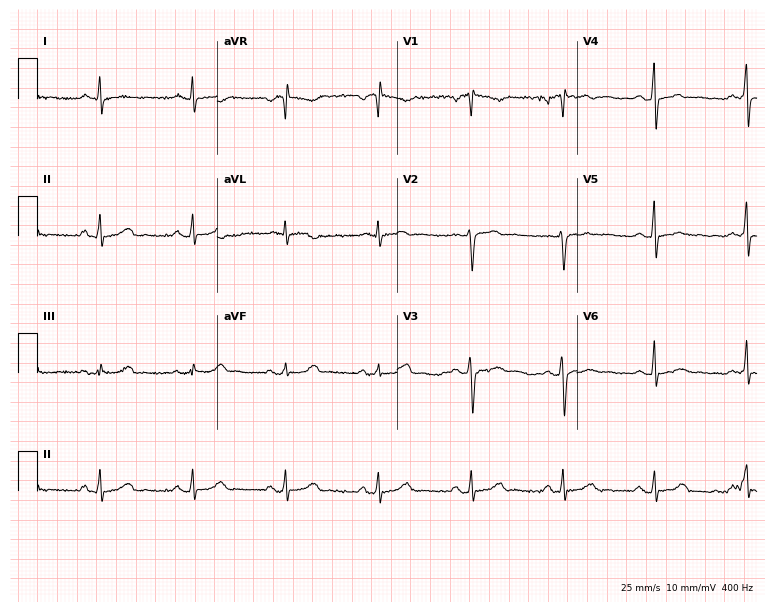
Standard 12-lead ECG recorded from a 55-year-old male patient (7.3-second recording at 400 Hz). Read as a normal ECG.